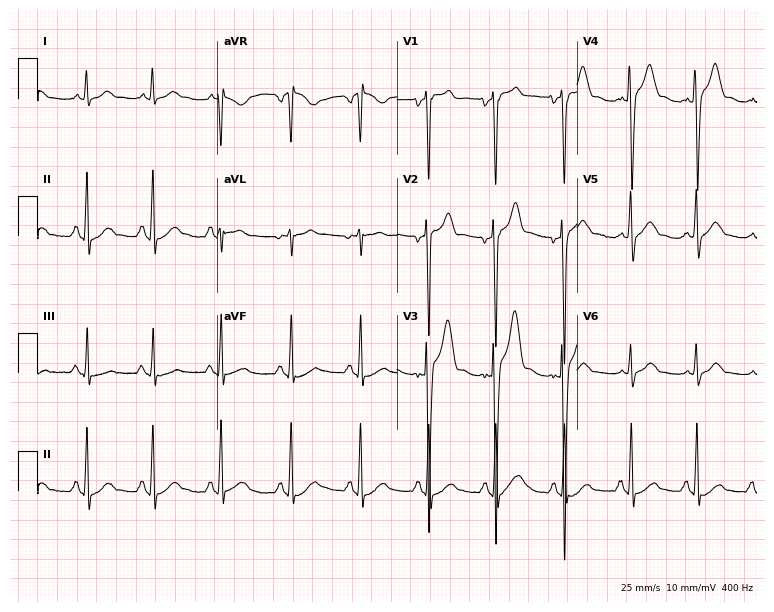
12-lead ECG (7.3-second recording at 400 Hz) from a male, 35 years old. Screened for six findings — first-degree AV block, right bundle branch block, left bundle branch block, sinus bradycardia, atrial fibrillation, sinus tachycardia — none is recorded. Only these six findings were labelled.